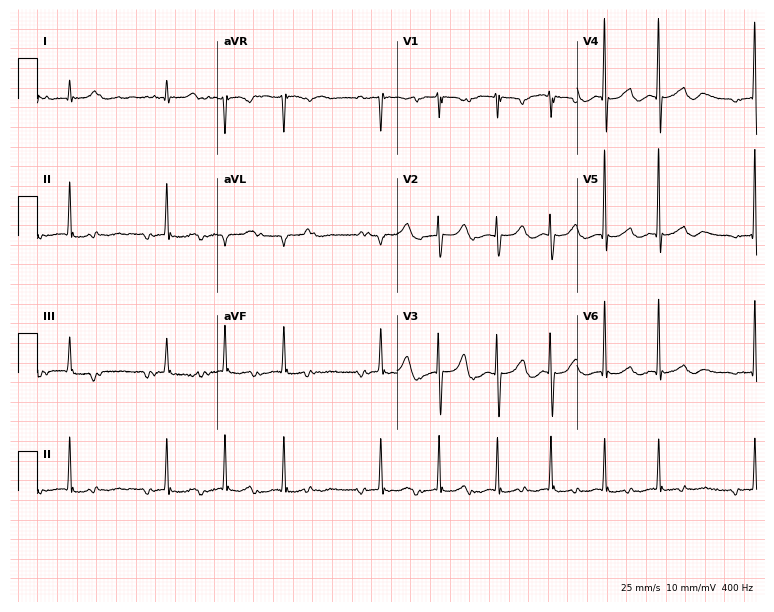
Standard 12-lead ECG recorded from a female patient, 78 years old (7.3-second recording at 400 Hz). None of these six findings is recorded: first-degree AV block, right bundle branch block, left bundle branch block, sinus bradycardia, atrial fibrillation, sinus tachycardia.